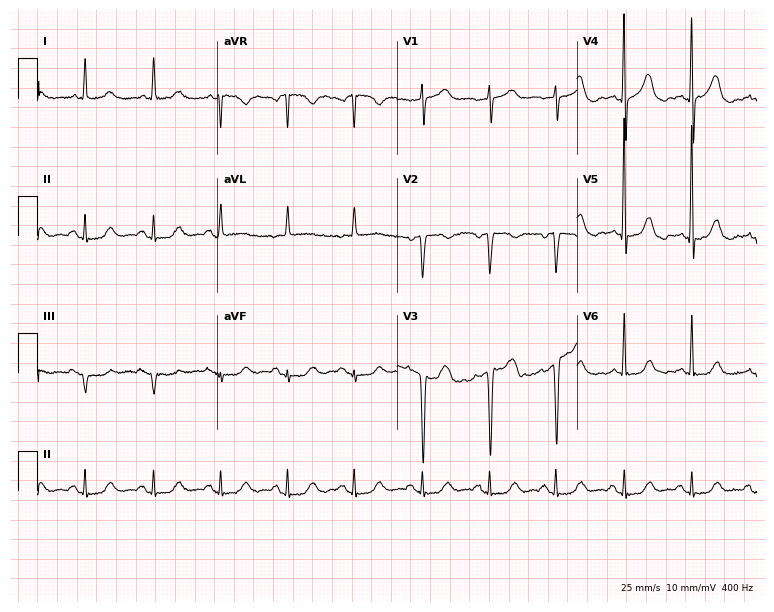
Electrocardiogram, a woman, 71 years old. Of the six screened findings (first-degree AV block, right bundle branch block, left bundle branch block, sinus bradycardia, atrial fibrillation, sinus tachycardia), none is recorded.